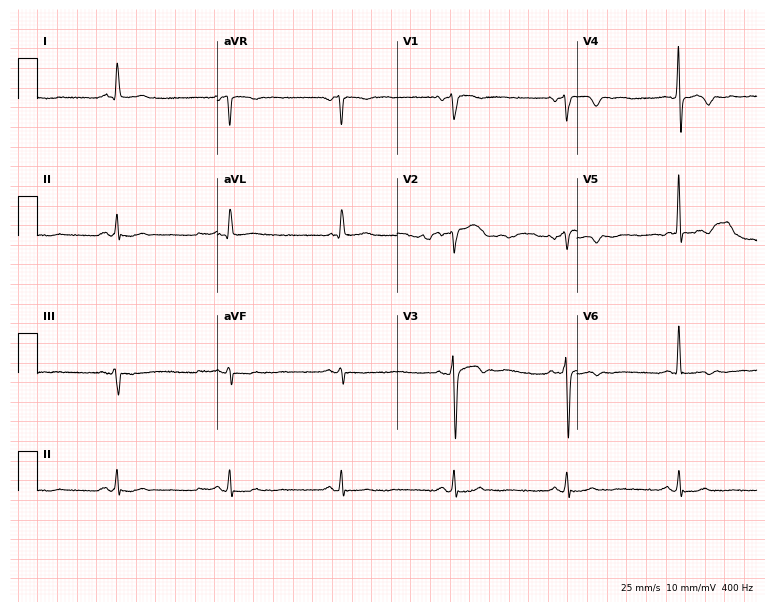
ECG (7.3-second recording at 400 Hz) — a male, 82 years old. Screened for six findings — first-degree AV block, right bundle branch block (RBBB), left bundle branch block (LBBB), sinus bradycardia, atrial fibrillation (AF), sinus tachycardia — none is recorded. Only these six findings were labelled.